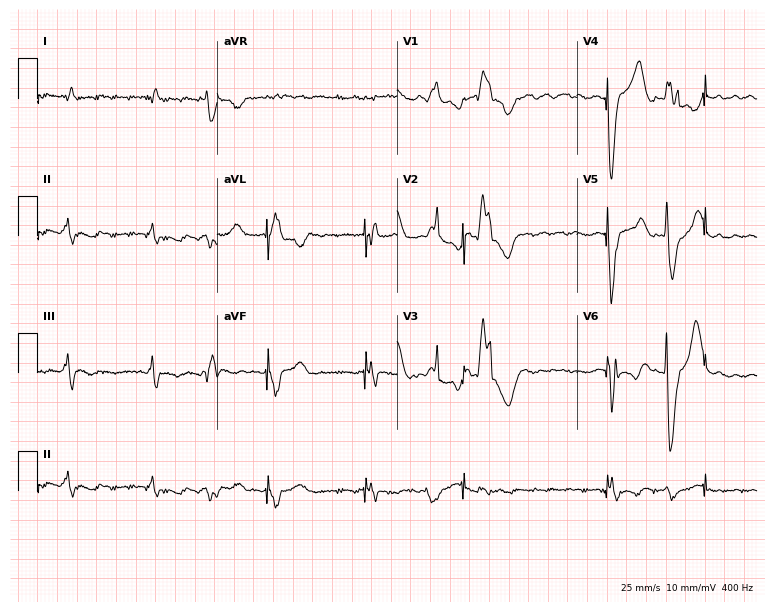
12-lead ECG from a male, 81 years old. Screened for six findings — first-degree AV block, right bundle branch block, left bundle branch block, sinus bradycardia, atrial fibrillation, sinus tachycardia — none is recorded. Only these six findings were labelled.